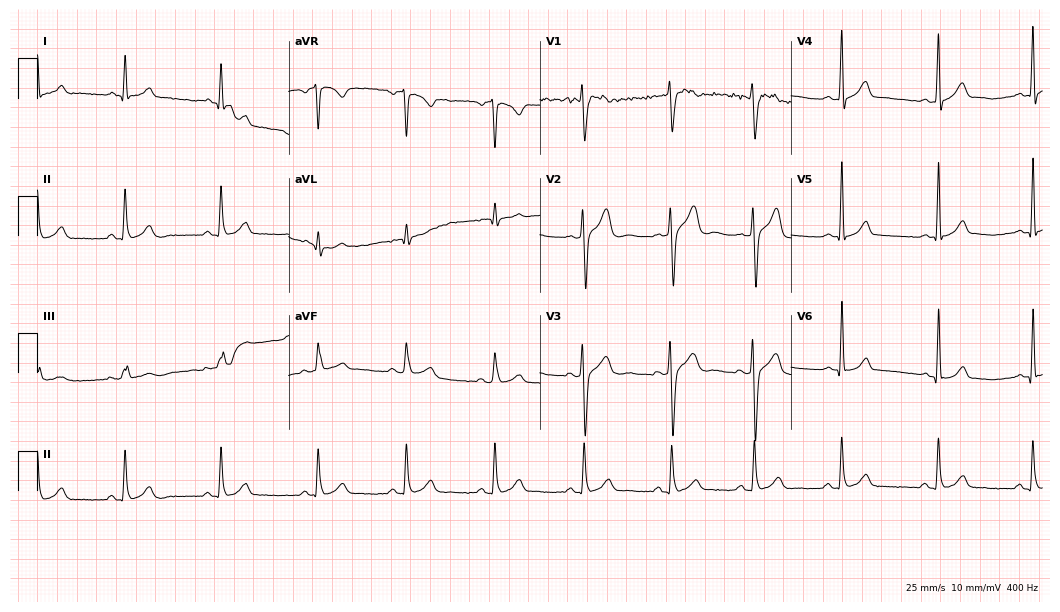
12-lead ECG (10.2-second recording at 400 Hz) from a 19-year-old male. Labelled as a normal ECG.